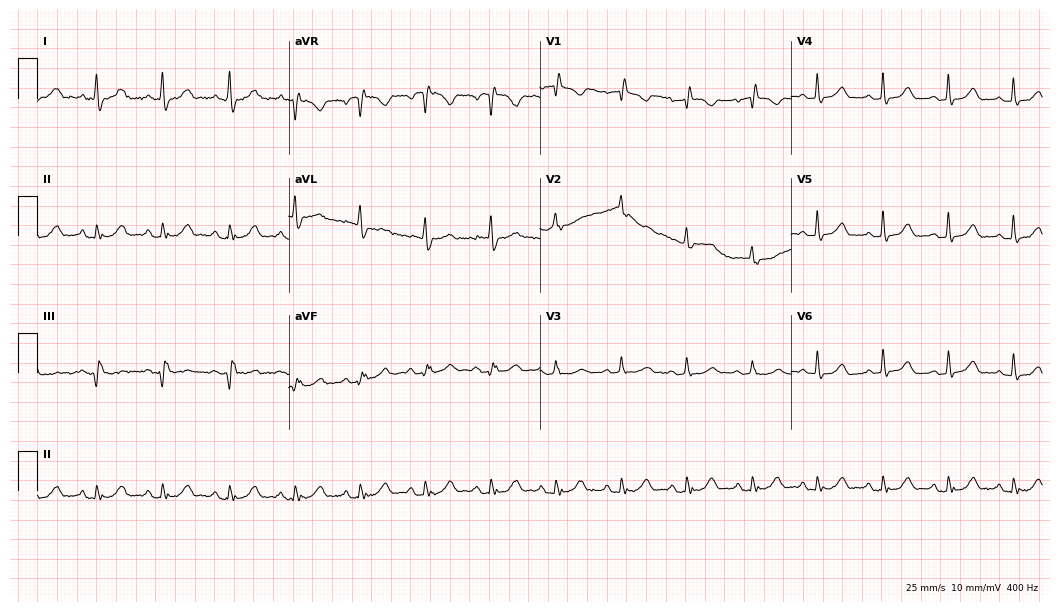
12-lead ECG from a 65-year-old woman (10.2-second recording at 400 Hz). No first-degree AV block, right bundle branch block, left bundle branch block, sinus bradycardia, atrial fibrillation or sinus tachycardia recorded for this tracing.